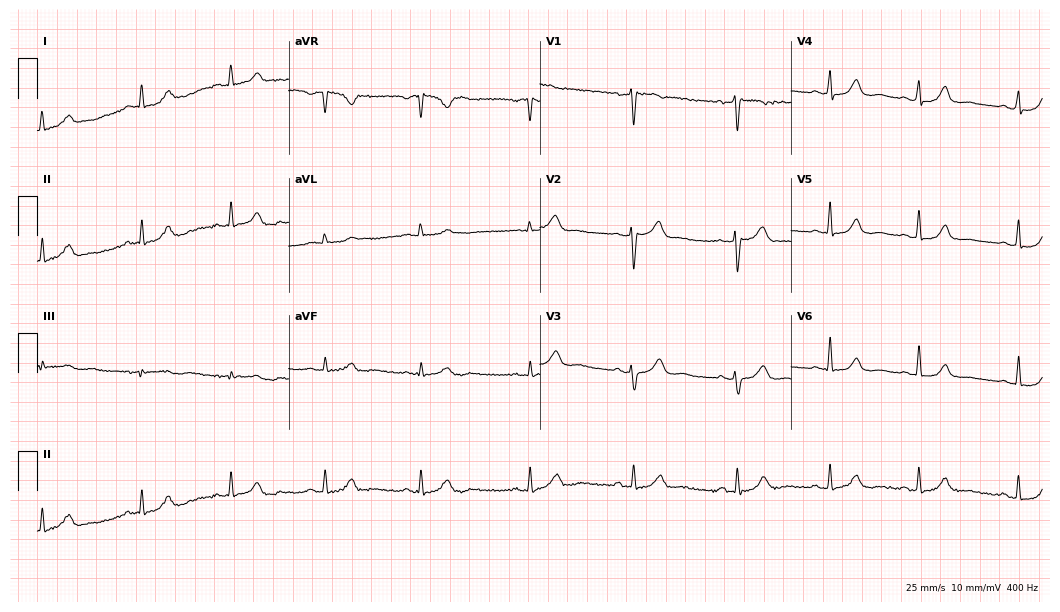
Standard 12-lead ECG recorded from a female patient, 51 years old (10.2-second recording at 400 Hz). Read as a normal ECG.